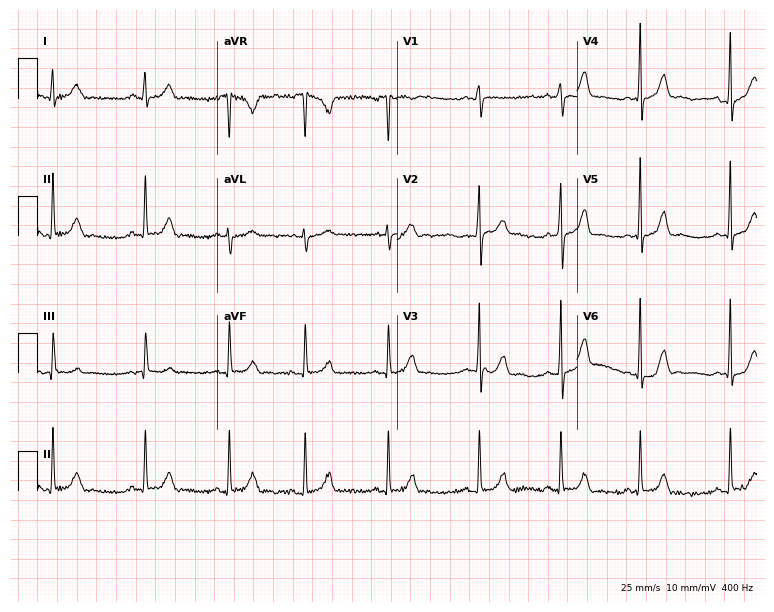
Resting 12-lead electrocardiogram (7.3-second recording at 400 Hz). Patient: a female, 21 years old. Read as a normal ECG.